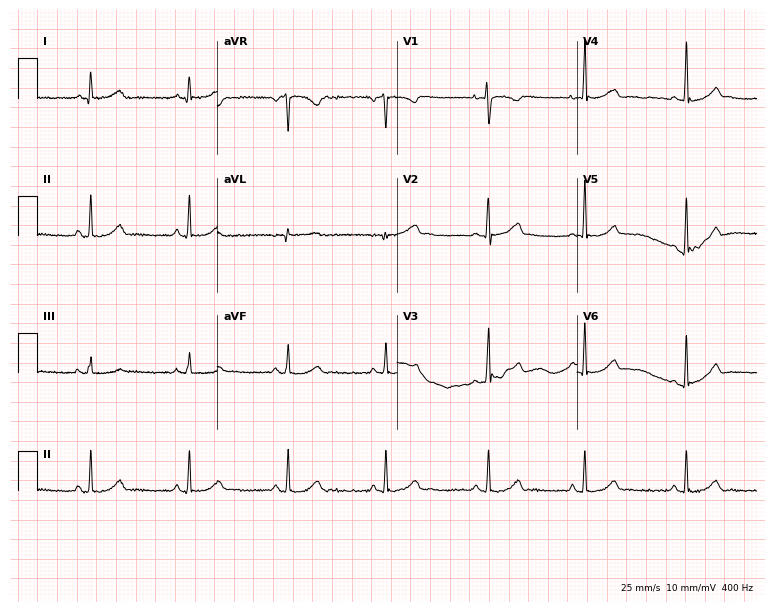
12-lead ECG (7.3-second recording at 400 Hz) from a woman, 23 years old. Labelled as a normal ECG.